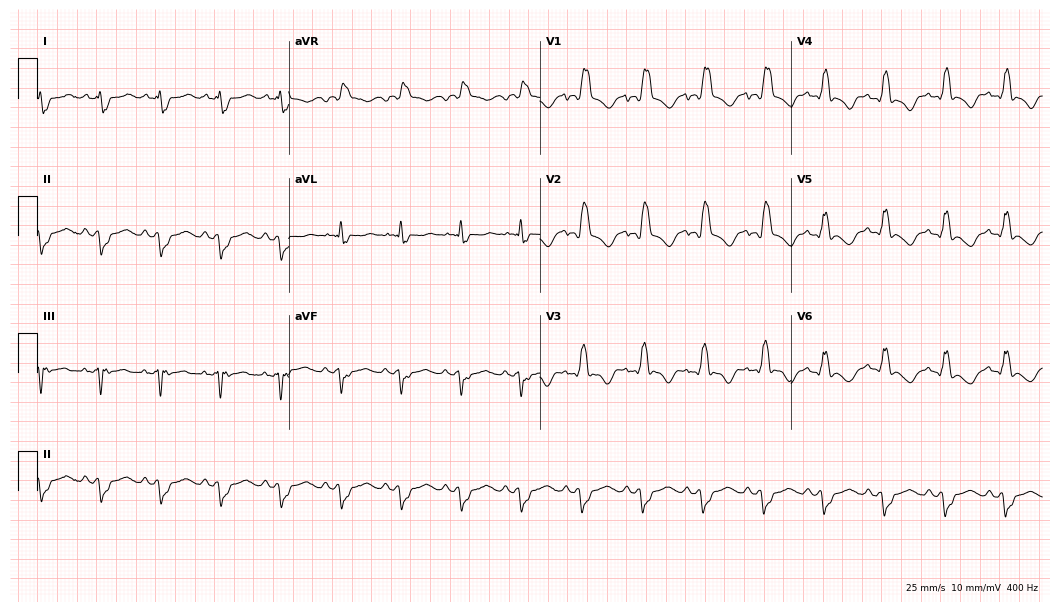
ECG — a 35-year-old male. Findings include right bundle branch block (RBBB).